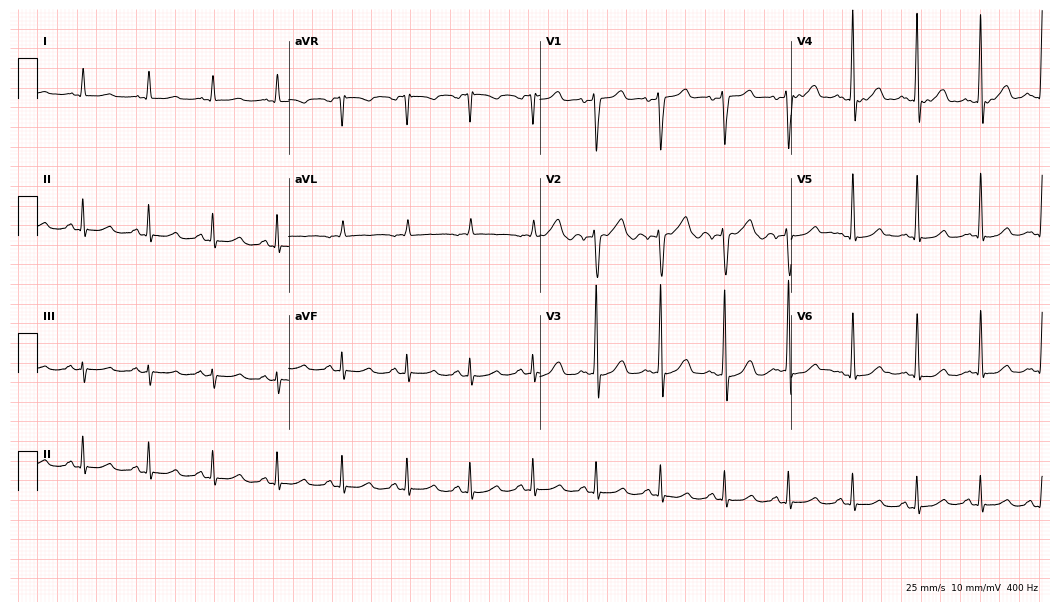
Electrocardiogram (10.2-second recording at 400 Hz), a 32-year-old man. Overall reading on record: normal ECG.